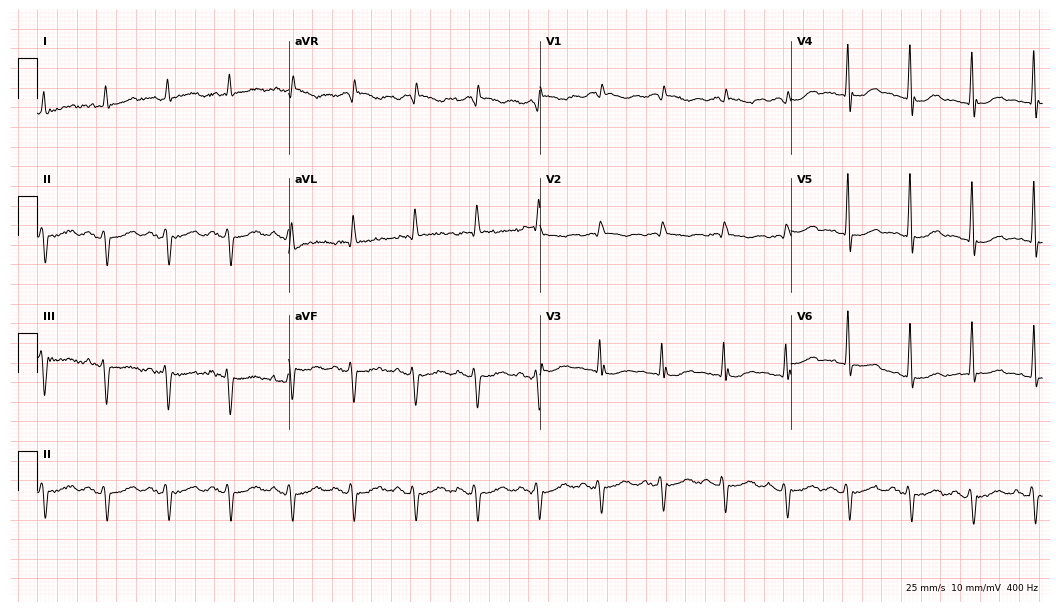
12-lead ECG from a male patient, 84 years old. No first-degree AV block, right bundle branch block, left bundle branch block, sinus bradycardia, atrial fibrillation or sinus tachycardia recorded for this tracing. Only these six findings were labelled.